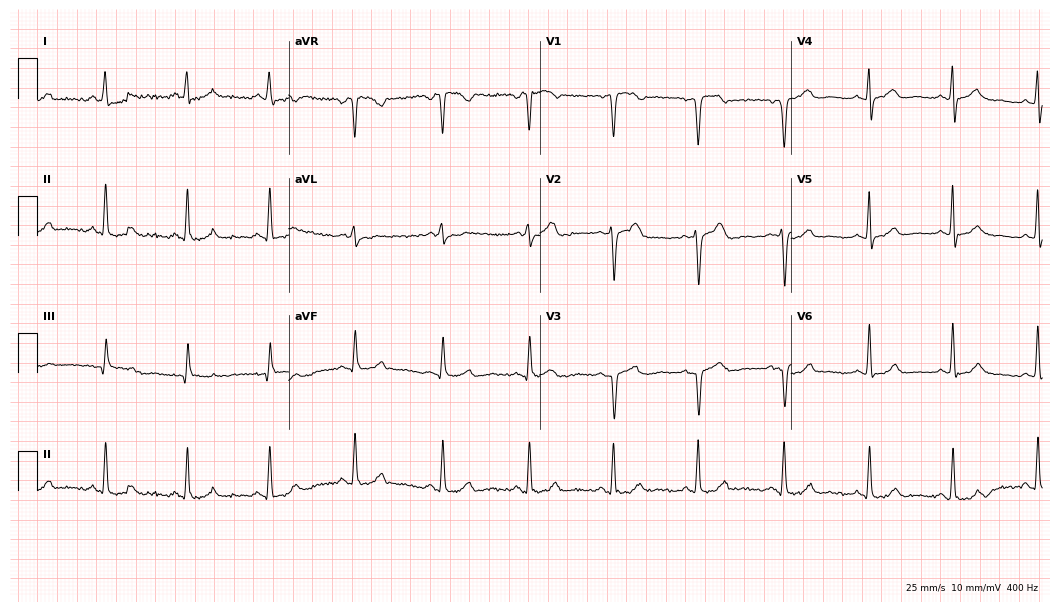
12-lead ECG from a woman, 37 years old. No first-degree AV block, right bundle branch block, left bundle branch block, sinus bradycardia, atrial fibrillation or sinus tachycardia recorded for this tracing. Findings outside these six are not listed.